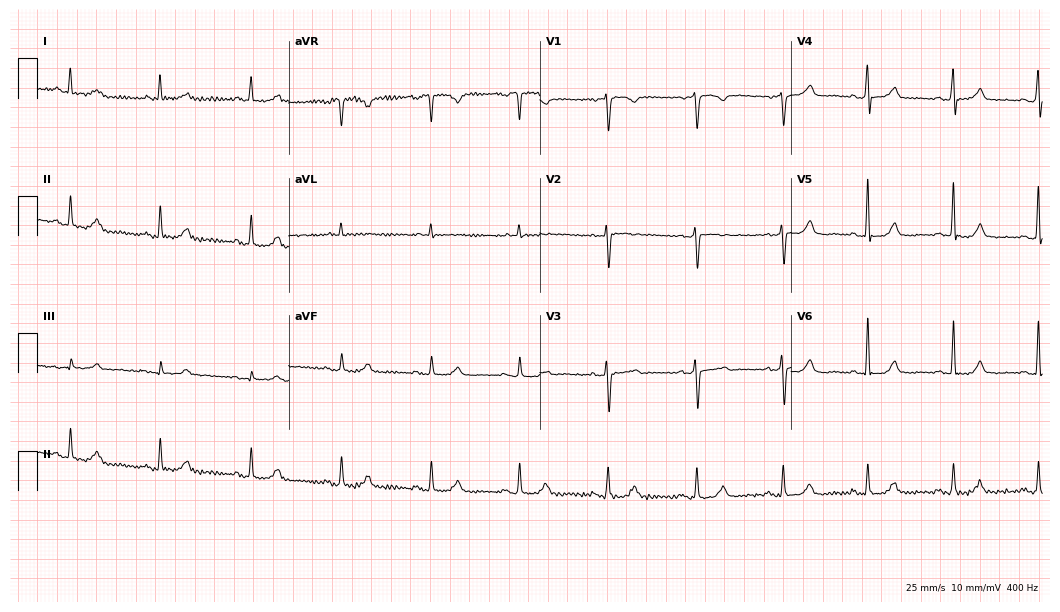
Standard 12-lead ECG recorded from a 53-year-old female. Read as a normal ECG.